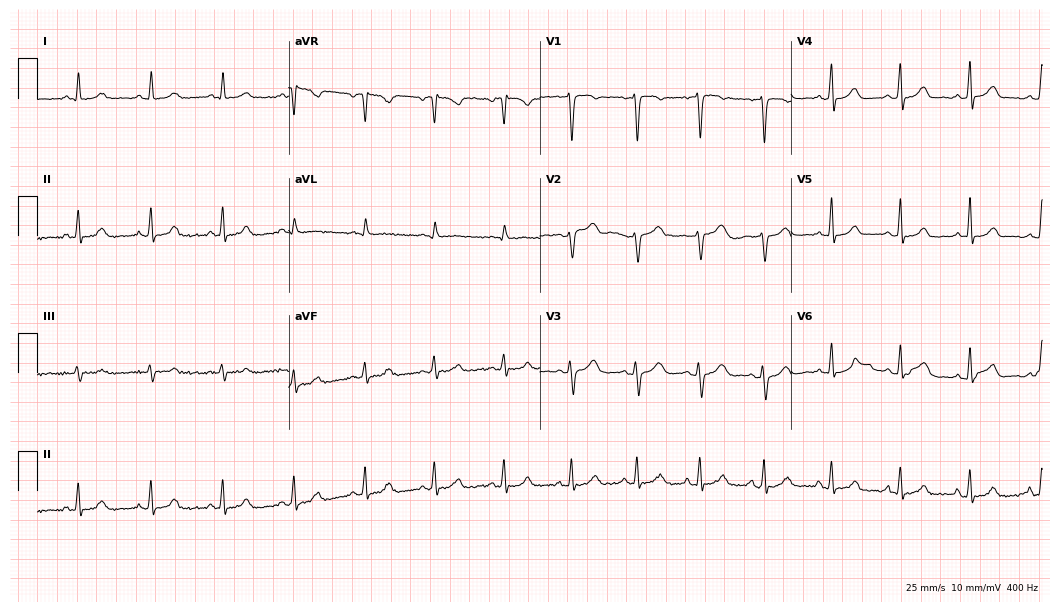
12-lead ECG from a 50-year-old female (10.2-second recording at 400 Hz). Recorded interpretation: within normal limits.